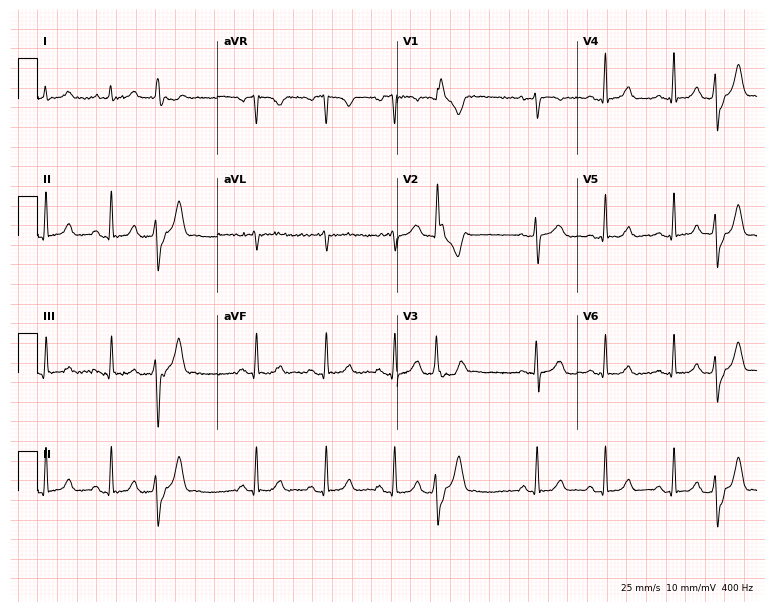
12-lead ECG from a female, 31 years old. No first-degree AV block, right bundle branch block (RBBB), left bundle branch block (LBBB), sinus bradycardia, atrial fibrillation (AF) or sinus tachycardia recorded for this tracing. Only these six findings were labelled.